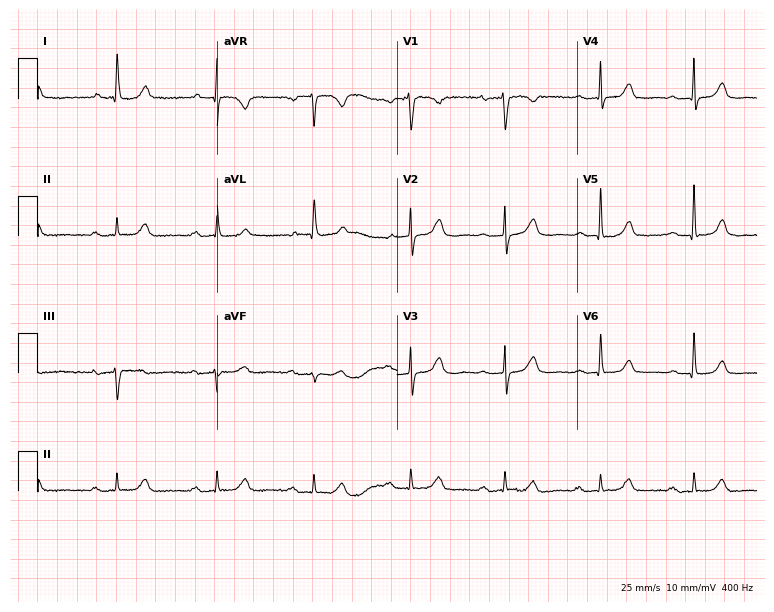
ECG — a 72-year-old female patient. Findings include first-degree AV block.